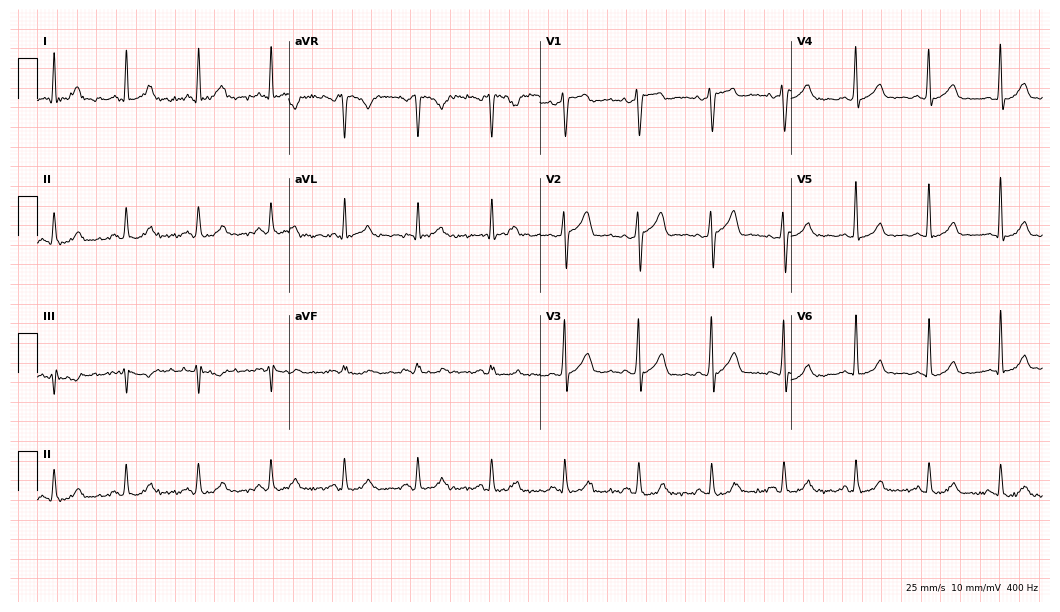
Electrocardiogram, a man, 39 years old. Overall reading on record: normal ECG.